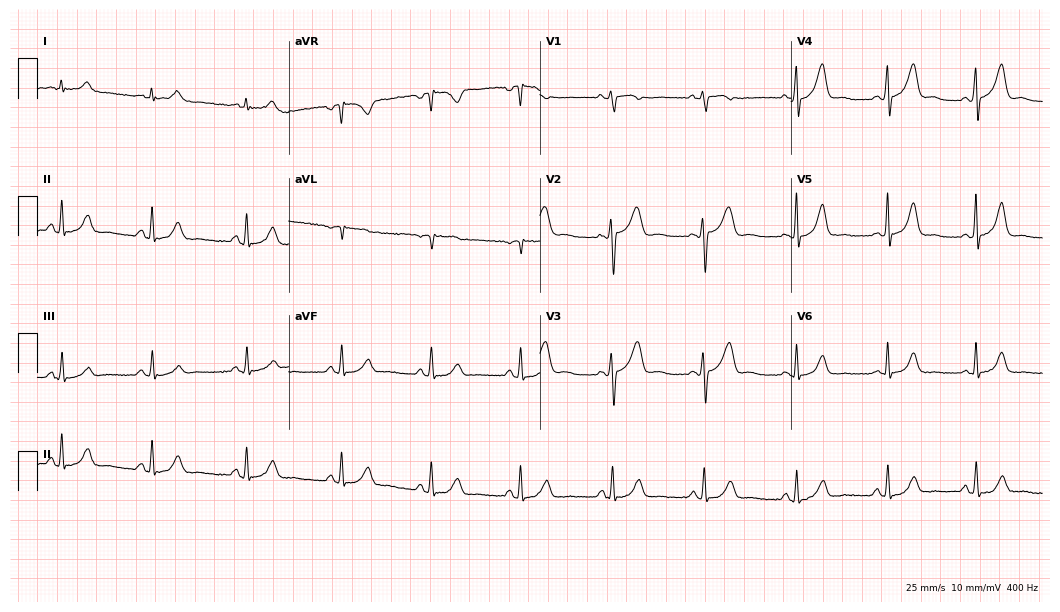
Standard 12-lead ECG recorded from a female patient, 33 years old (10.2-second recording at 400 Hz). None of these six findings is recorded: first-degree AV block, right bundle branch block (RBBB), left bundle branch block (LBBB), sinus bradycardia, atrial fibrillation (AF), sinus tachycardia. Only these six findings were labelled.